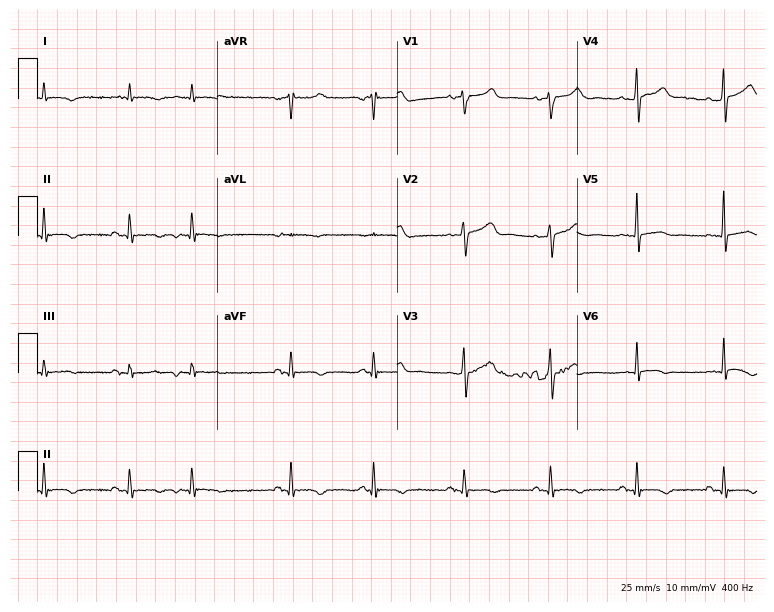
12-lead ECG from an 81-year-old male. No first-degree AV block, right bundle branch block, left bundle branch block, sinus bradycardia, atrial fibrillation or sinus tachycardia recorded for this tracing.